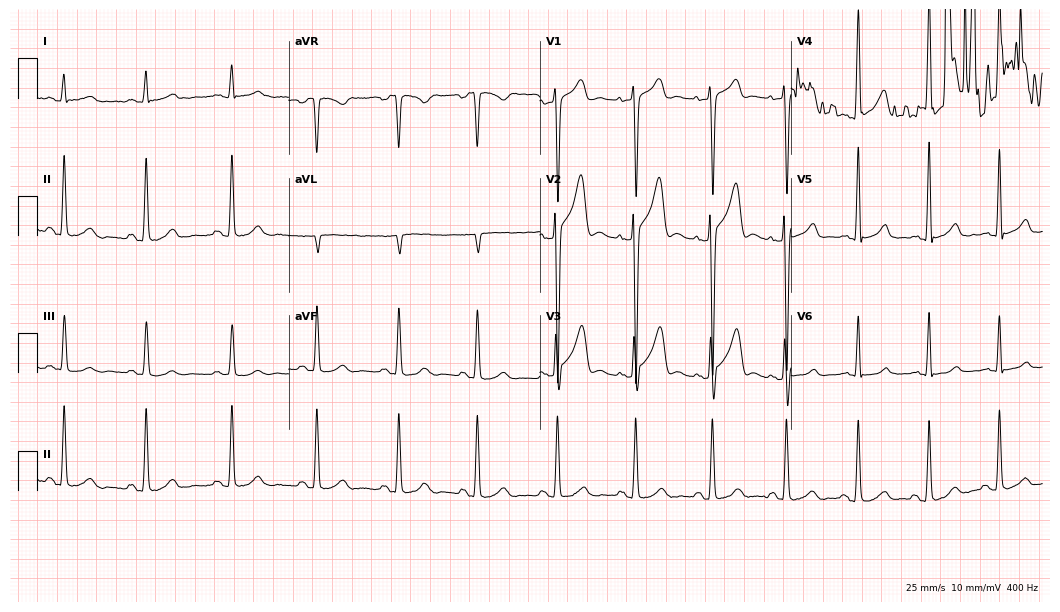
Resting 12-lead electrocardiogram. Patient: a 19-year-old man. Read as a normal ECG.